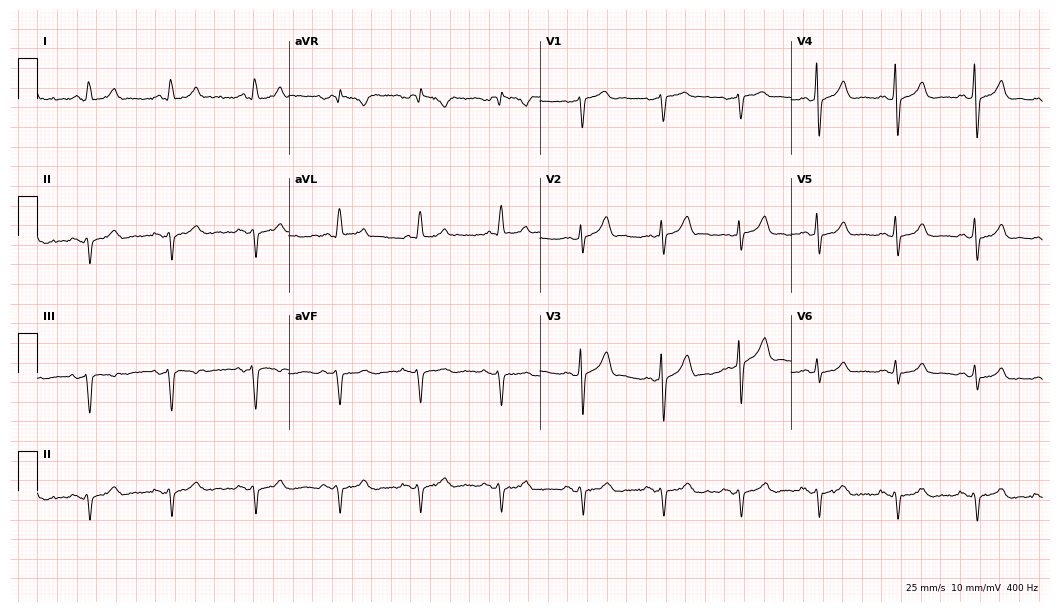
Resting 12-lead electrocardiogram. Patient: a 50-year-old male. None of these six findings is recorded: first-degree AV block, right bundle branch block, left bundle branch block, sinus bradycardia, atrial fibrillation, sinus tachycardia. Other findings, if any, are not listed.